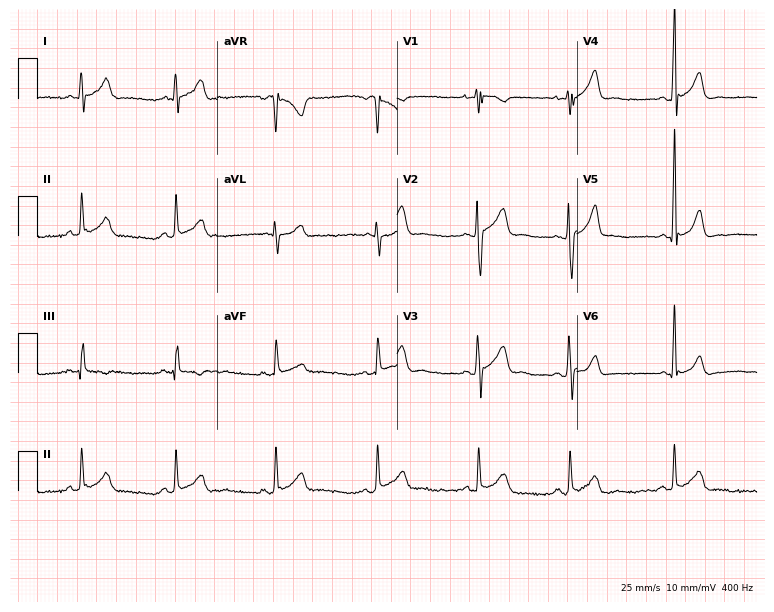
Electrocardiogram (7.3-second recording at 400 Hz), a male, 17 years old. Of the six screened findings (first-degree AV block, right bundle branch block, left bundle branch block, sinus bradycardia, atrial fibrillation, sinus tachycardia), none is recorded.